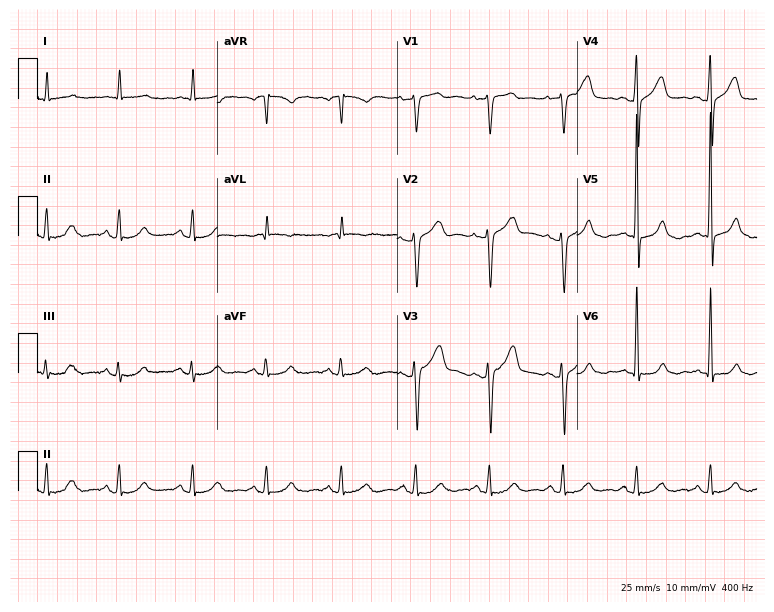
Electrocardiogram, an 80-year-old male patient. Of the six screened findings (first-degree AV block, right bundle branch block, left bundle branch block, sinus bradycardia, atrial fibrillation, sinus tachycardia), none is recorded.